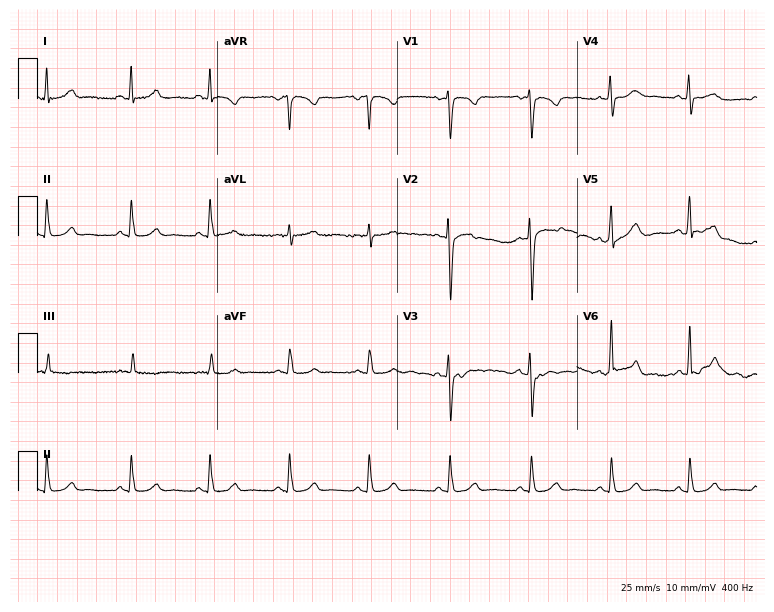
Resting 12-lead electrocardiogram (7.3-second recording at 400 Hz). Patient: a 32-year-old woman. Read as a normal ECG.